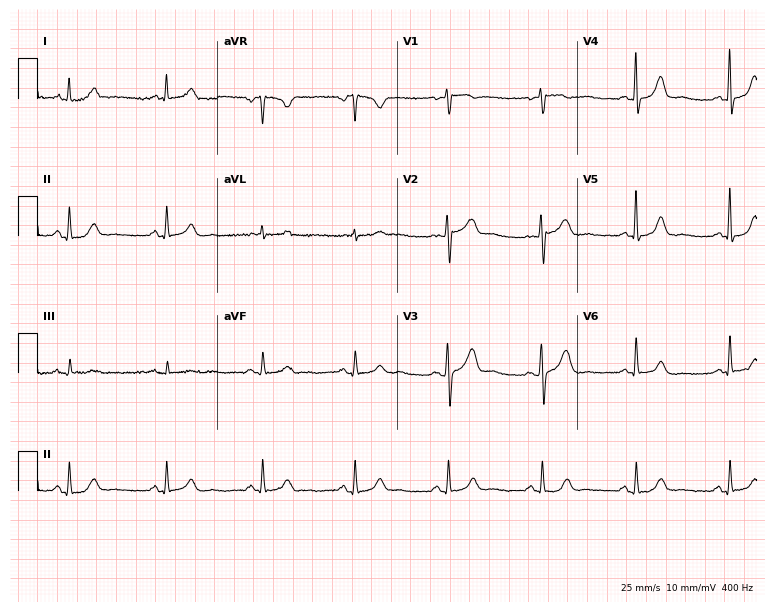
12-lead ECG from a 50-year-old female patient. No first-degree AV block, right bundle branch block, left bundle branch block, sinus bradycardia, atrial fibrillation or sinus tachycardia recorded for this tracing. Findings outside these six are not listed.